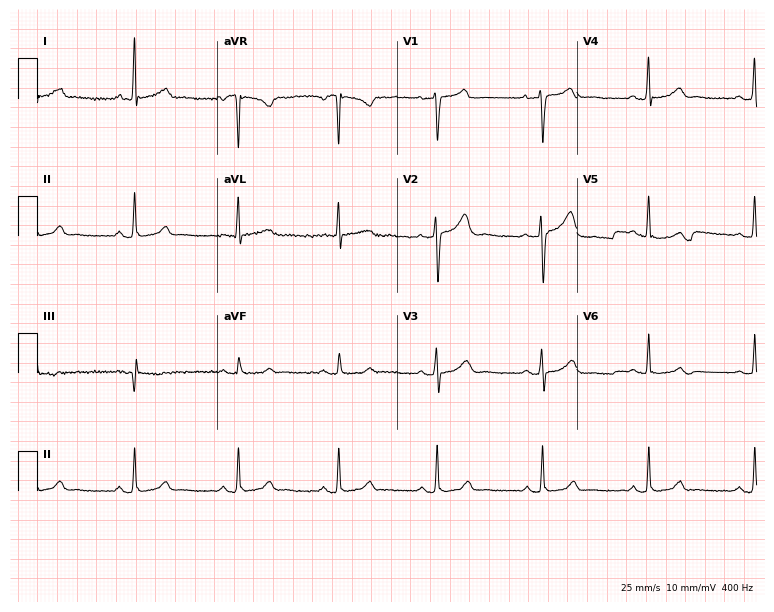
12-lead ECG from a female patient, 47 years old (7.3-second recording at 400 Hz). Recorded interpretation: within normal limits.